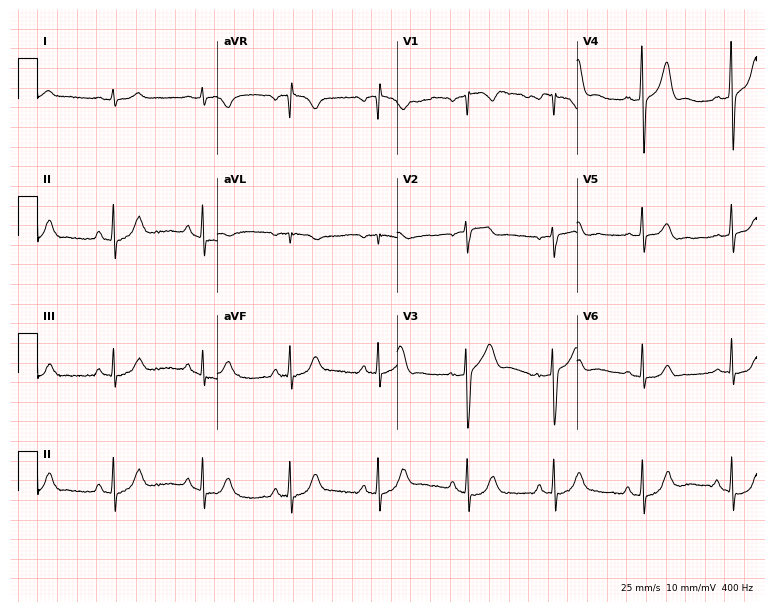
12-lead ECG from a 50-year-old man. Screened for six findings — first-degree AV block, right bundle branch block, left bundle branch block, sinus bradycardia, atrial fibrillation, sinus tachycardia — none is recorded.